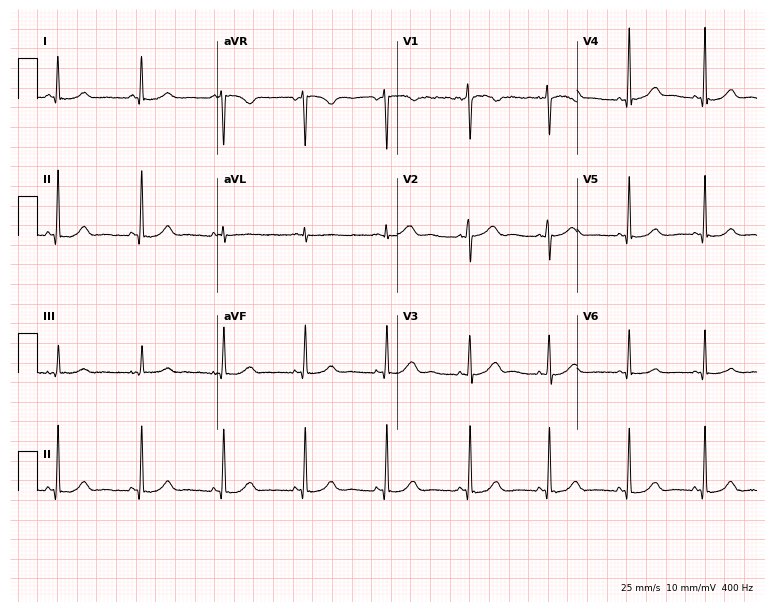
ECG — a female patient, 45 years old. Screened for six findings — first-degree AV block, right bundle branch block (RBBB), left bundle branch block (LBBB), sinus bradycardia, atrial fibrillation (AF), sinus tachycardia — none is recorded. Only these six findings were labelled.